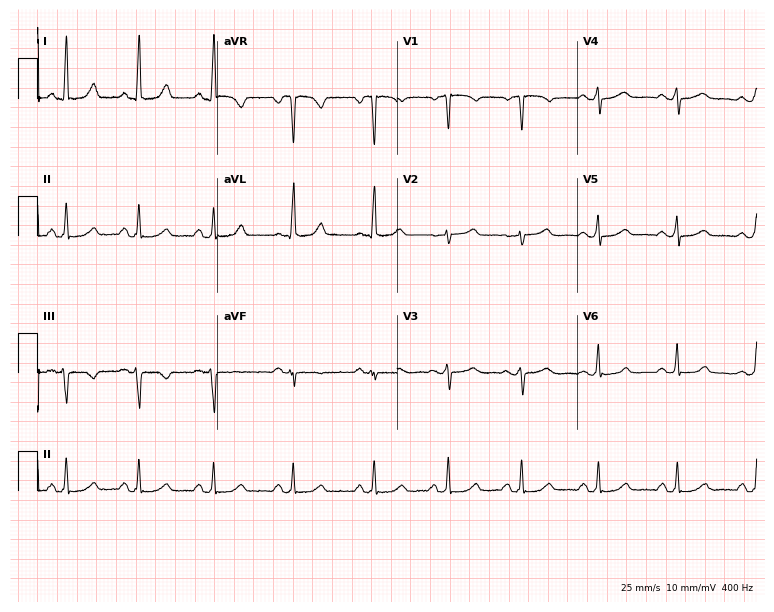
Resting 12-lead electrocardiogram (7.3-second recording at 400 Hz). Patient: a 60-year-old female. Read as a normal ECG.